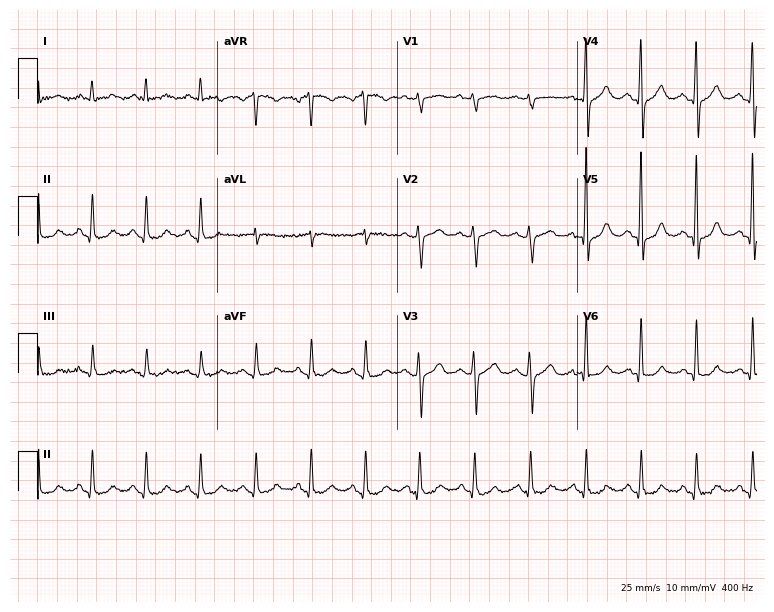
12-lead ECG (7.3-second recording at 400 Hz) from a male, 79 years old. Findings include sinus tachycardia (a sinus rate of 100 beats per minute or more).